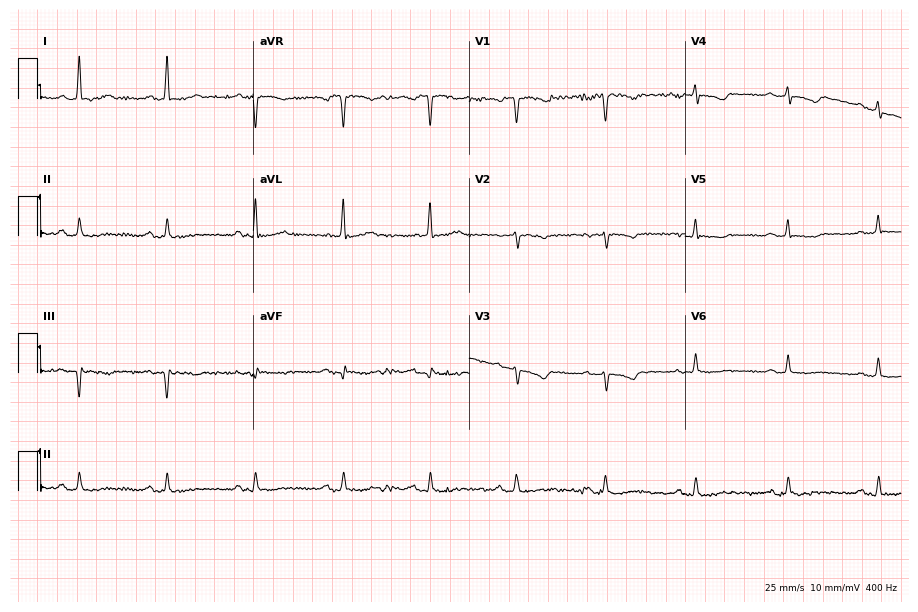
12-lead ECG from a 53-year-old female. Screened for six findings — first-degree AV block, right bundle branch block, left bundle branch block, sinus bradycardia, atrial fibrillation, sinus tachycardia — none is recorded. Only these six findings were labelled.